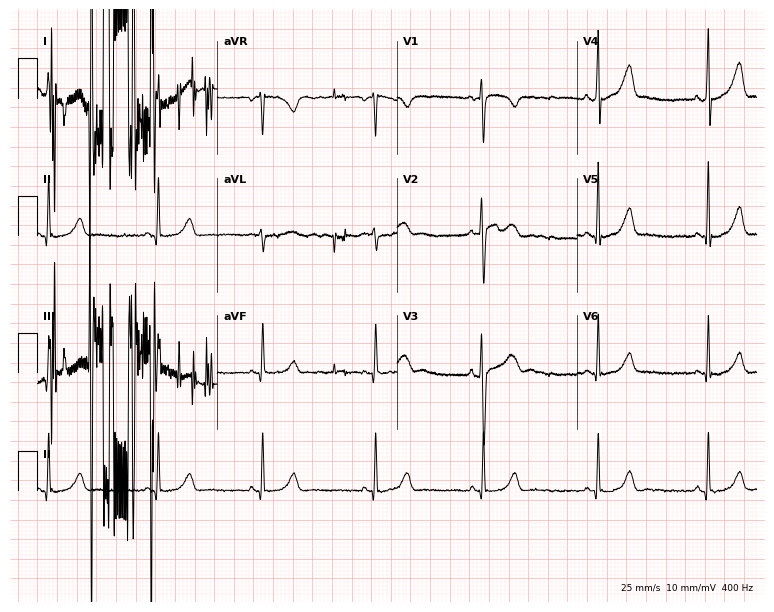
Electrocardiogram, a female patient, 30 years old. Overall reading on record: normal ECG.